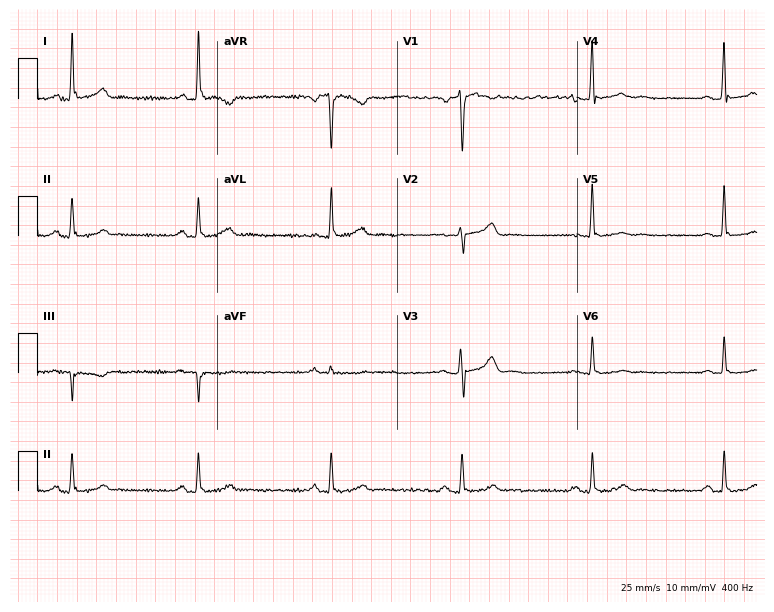
Standard 12-lead ECG recorded from a male, 52 years old (7.3-second recording at 400 Hz). None of these six findings is recorded: first-degree AV block, right bundle branch block, left bundle branch block, sinus bradycardia, atrial fibrillation, sinus tachycardia.